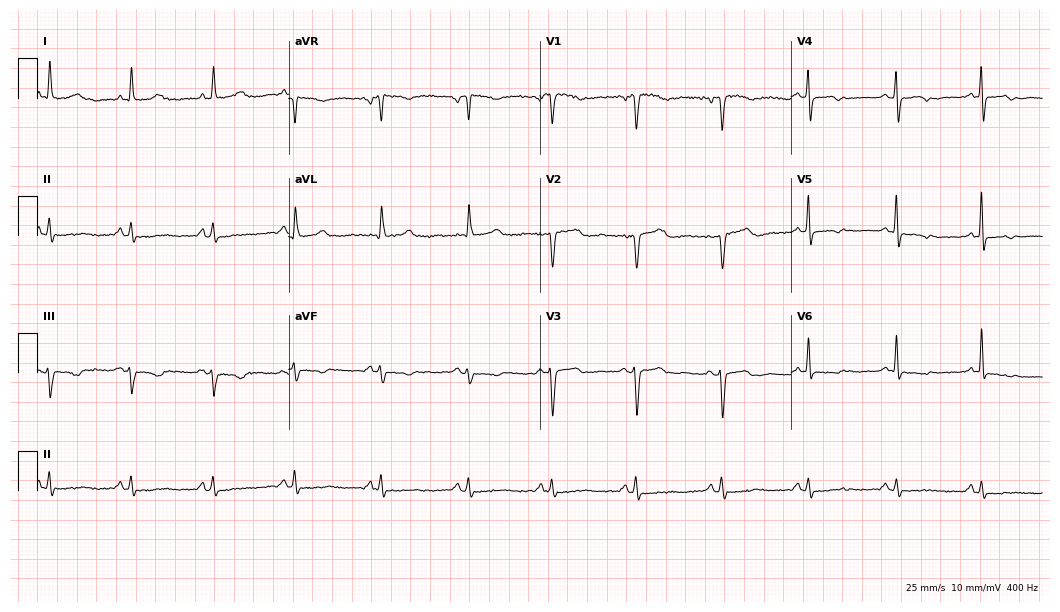
ECG — a 71-year-old female. Screened for six findings — first-degree AV block, right bundle branch block, left bundle branch block, sinus bradycardia, atrial fibrillation, sinus tachycardia — none is recorded.